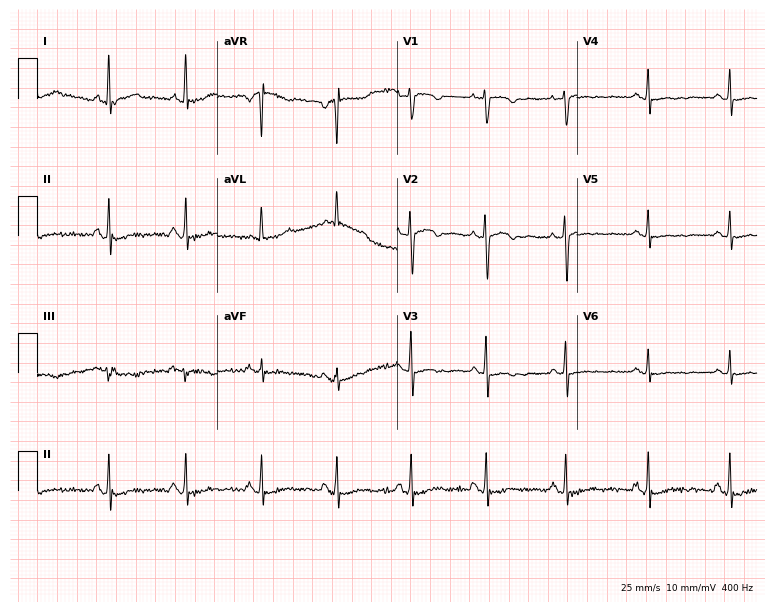
Standard 12-lead ECG recorded from a female patient, 56 years old (7.3-second recording at 400 Hz). None of these six findings is recorded: first-degree AV block, right bundle branch block, left bundle branch block, sinus bradycardia, atrial fibrillation, sinus tachycardia. Findings outside these six are not listed.